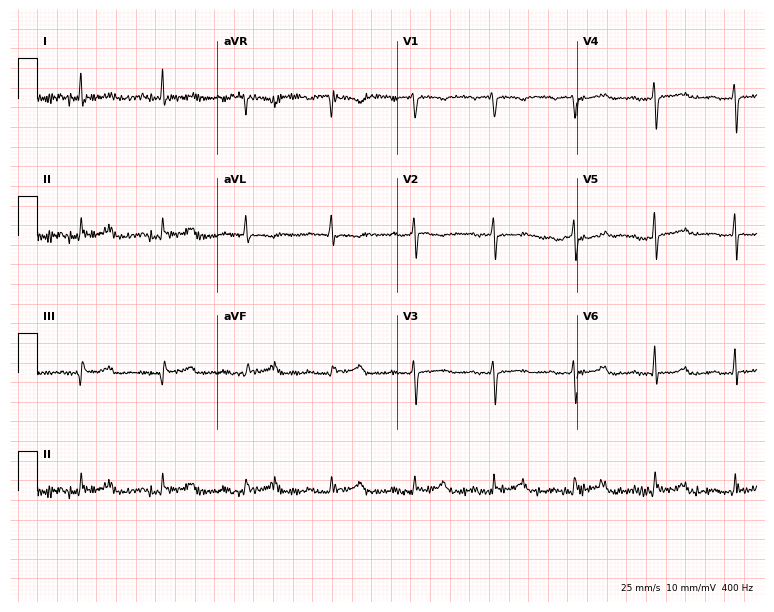
Electrocardiogram (7.3-second recording at 400 Hz), a woman, 57 years old. Of the six screened findings (first-degree AV block, right bundle branch block, left bundle branch block, sinus bradycardia, atrial fibrillation, sinus tachycardia), none is recorded.